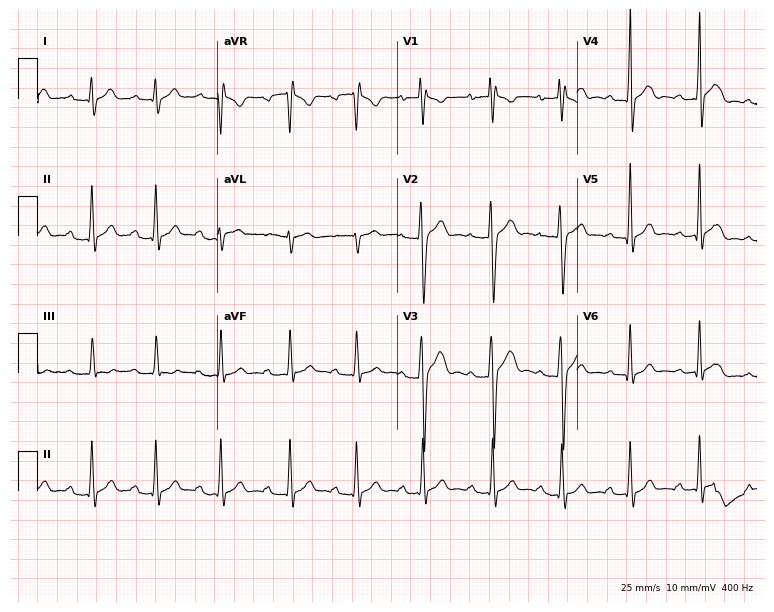
ECG — a man, 18 years old. Screened for six findings — first-degree AV block, right bundle branch block, left bundle branch block, sinus bradycardia, atrial fibrillation, sinus tachycardia — none is recorded. Findings outside these six are not listed.